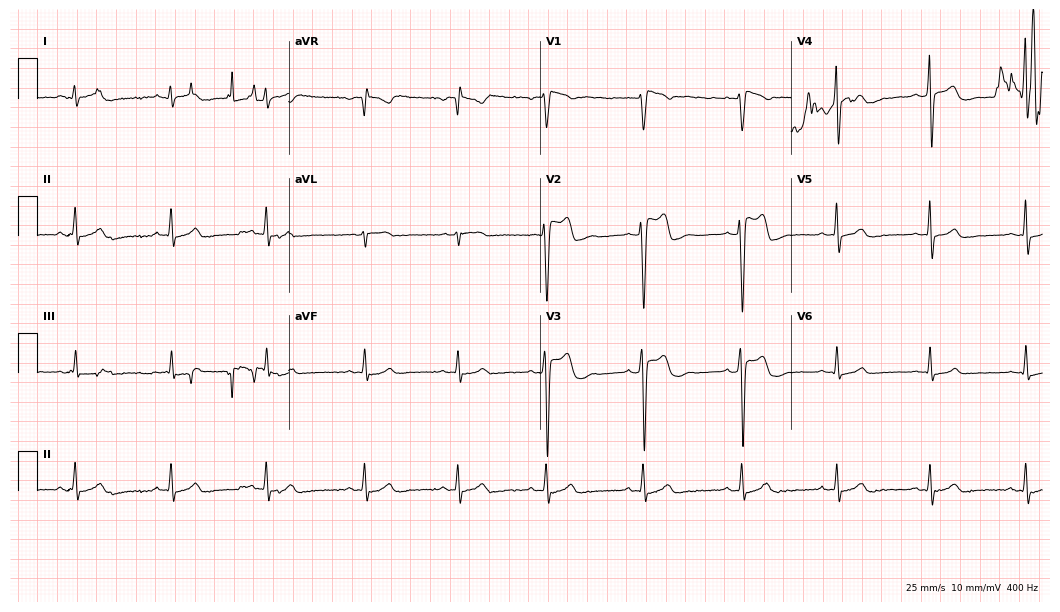
ECG — a male, 27 years old. Screened for six findings — first-degree AV block, right bundle branch block (RBBB), left bundle branch block (LBBB), sinus bradycardia, atrial fibrillation (AF), sinus tachycardia — none is recorded.